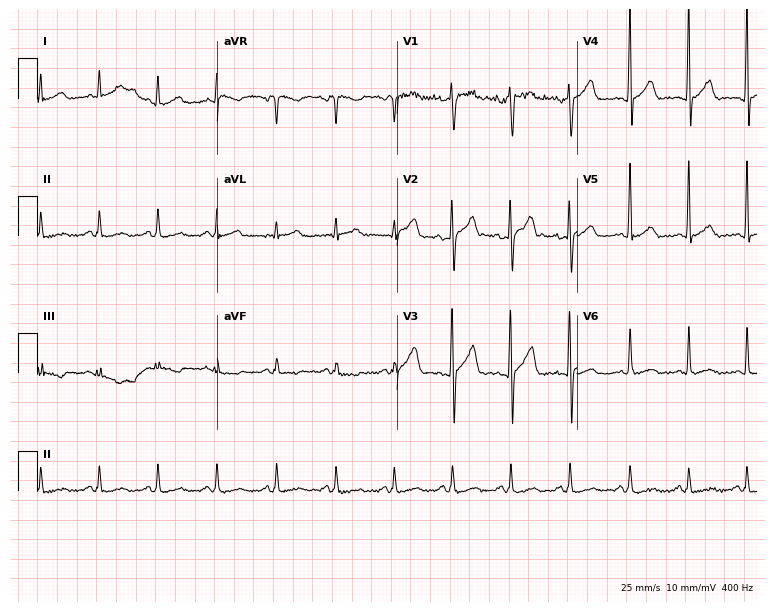
Electrocardiogram, a 59-year-old man. Interpretation includes sinus tachycardia (a sinus rate of 100 beats per minute or more).